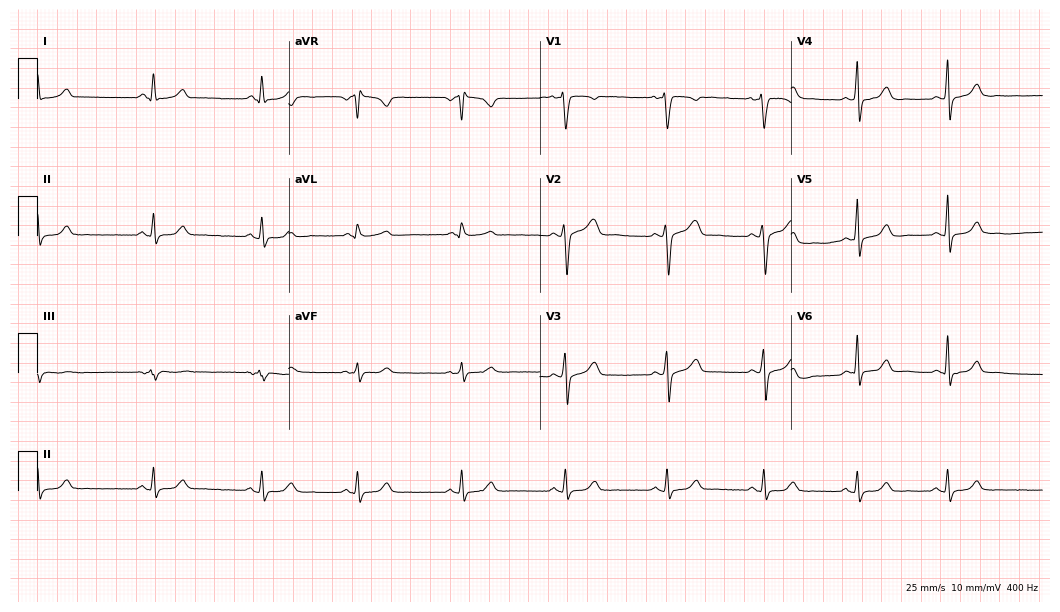
Standard 12-lead ECG recorded from a woman, 33 years old. Read as a normal ECG.